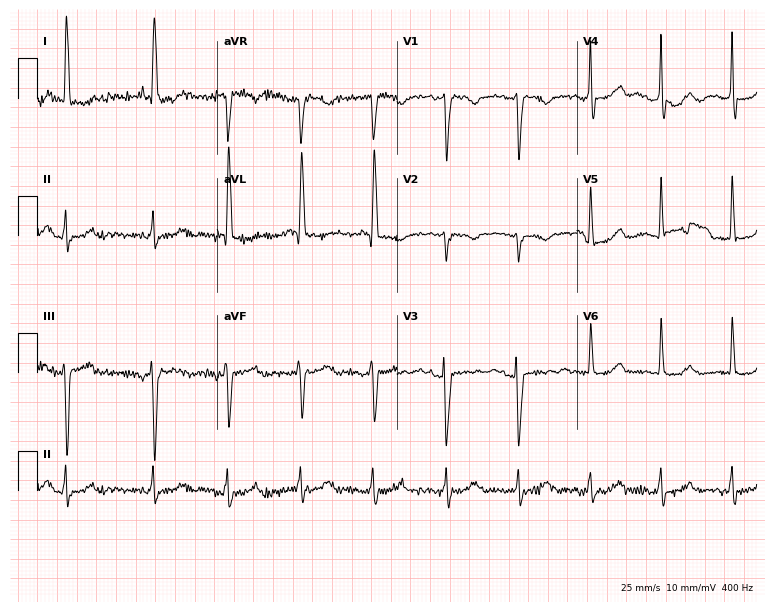
Standard 12-lead ECG recorded from a female patient, 66 years old (7.3-second recording at 400 Hz). None of these six findings is recorded: first-degree AV block, right bundle branch block, left bundle branch block, sinus bradycardia, atrial fibrillation, sinus tachycardia. Only these six findings were labelled.